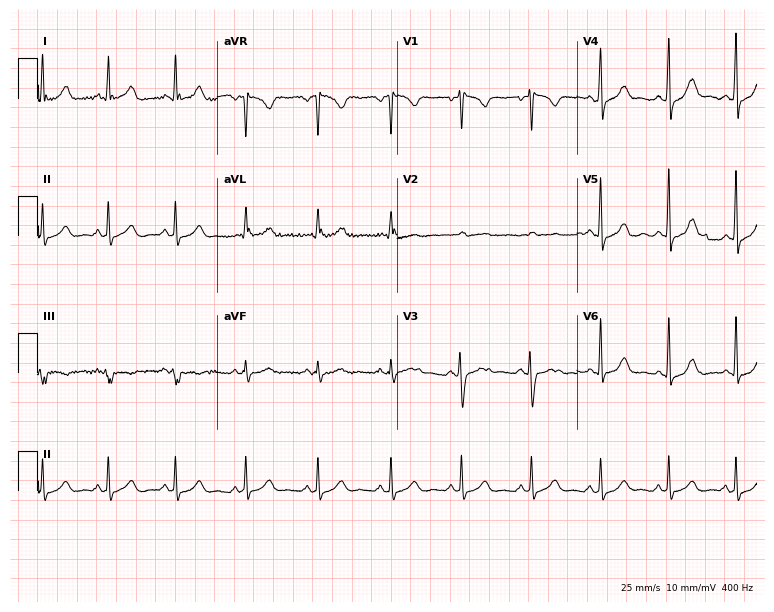
12-lead ECG from a 26-year-old woman. Labelled as a normal ECG.